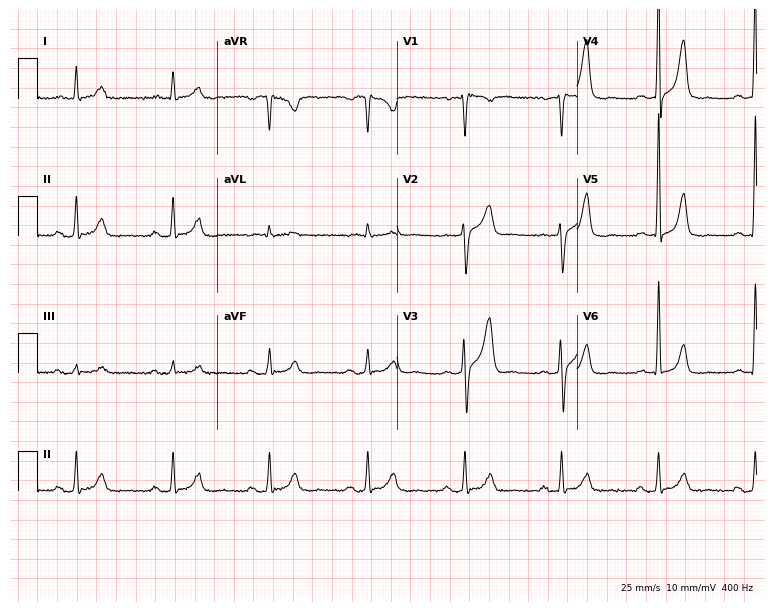
12-lead ECG from a male patient, 67 years old. Labelled as a normal ECG.